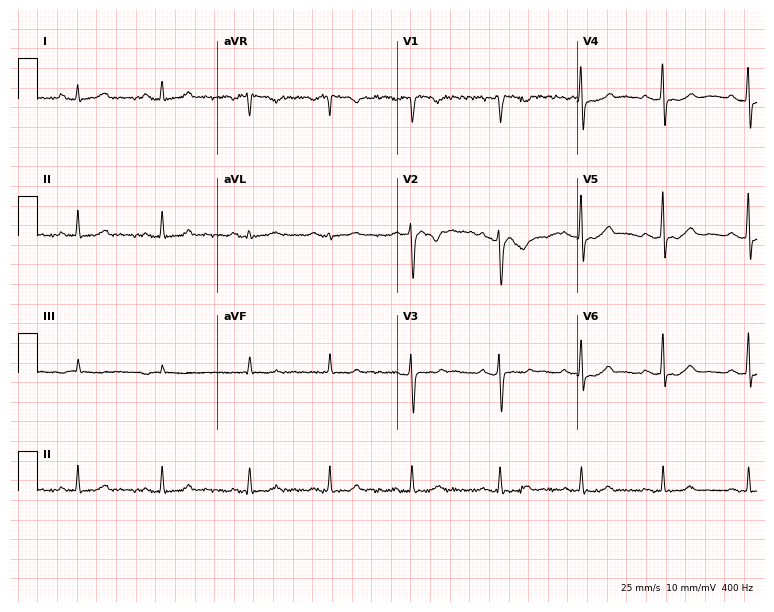
ECG (7.3-second recording at 400 Hz) — a 27-year-old woman. Labelled as a normal ECG.